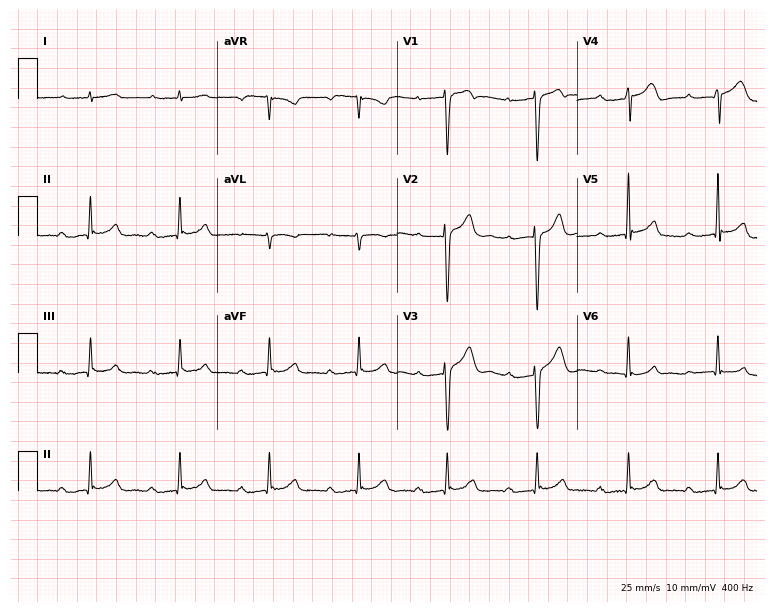
Standard 12-lead ECG recorded from a 32-year-old male (7.3-second recording at 400 Hz). The tracing shows first-degree AV block.